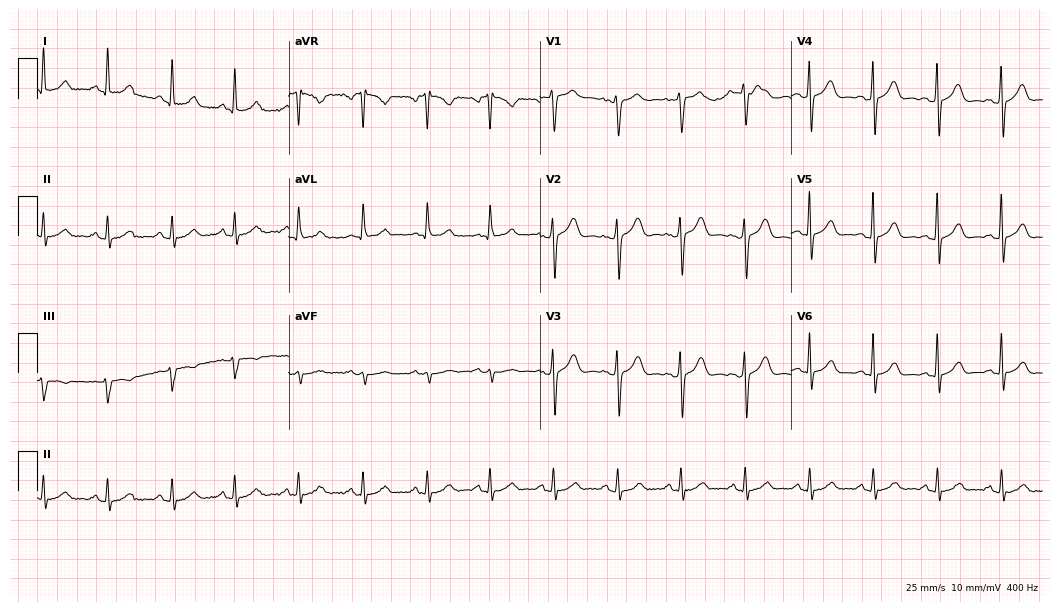
ECG — a 42-year-old female patient. Labelled as a normal ECG.